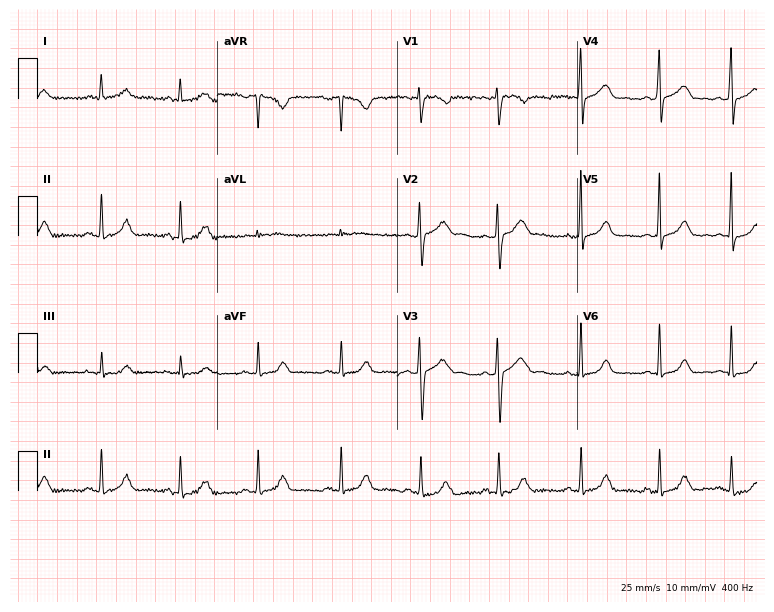
12-lead ECG (7.3-second recording at 400 Hz) from a 39-year-old female patient. Screened for six findings — first-degree AV block, right bundle branch block (RBBB), left bundle branch block (LBBB), sinus bradycardia, atrial fibrillation (AF), sinus tachycardia — none is recorded. Only these six findings were labelled.